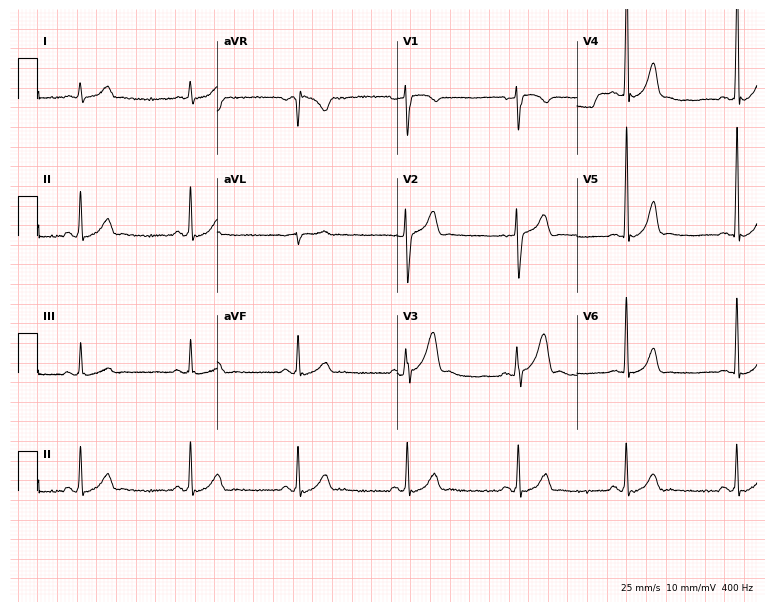
Standard 12-lead ECG recorded from a 46-year-old male patient. Read as a normal ECG.